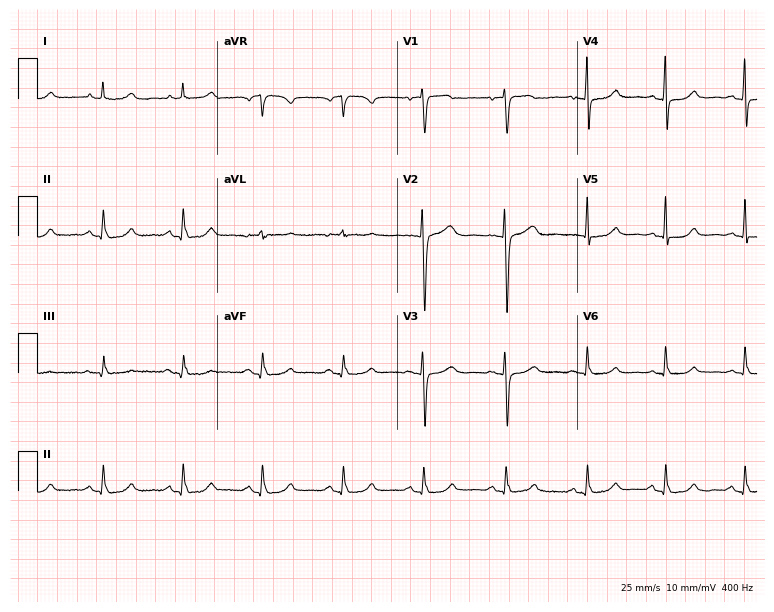
Resting 12-lead electrocardiogram (7.3-second recording at 400 Hz). Patient: a female, 64 years old. Read as a normal ECG.